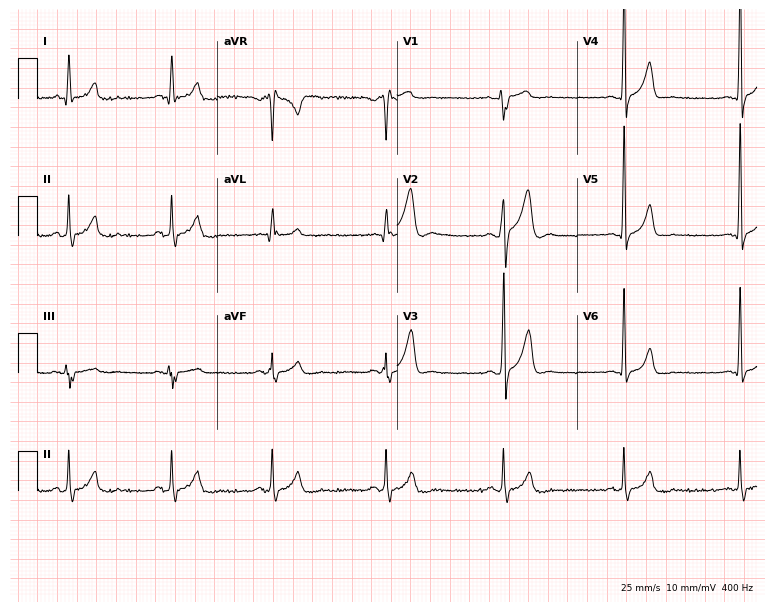
12-lead ECG from a male patient, 21 years old (7.3-second recording at 400 Hz). No first-degree AV block, right bundle branch block (RBBB), left bundle branch block (LBBB), sinus bradycardia, atrial fibrillation (AF) or sinus tachycardia recorded for this tracing. Only these six findings were labelled.